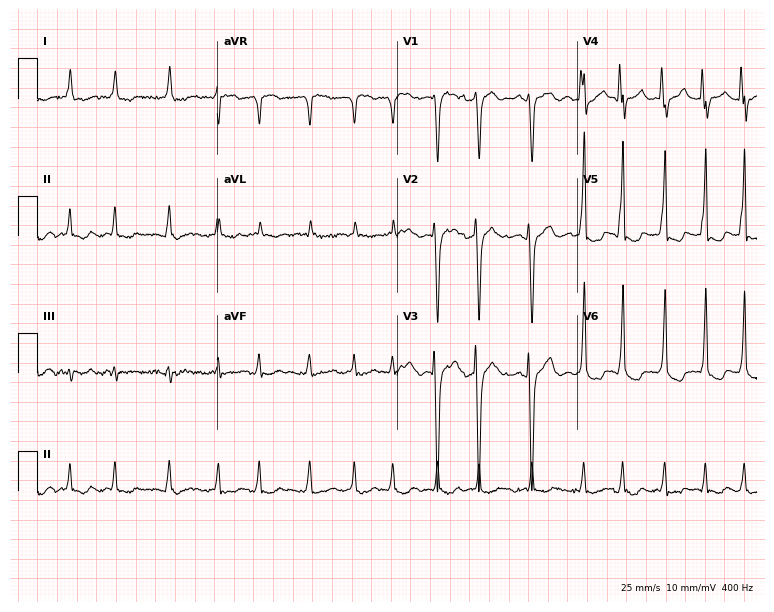
ECG (7.3-second recording at 400 Hz) — a male, 63 years old. Findings include atrial fibrillation.